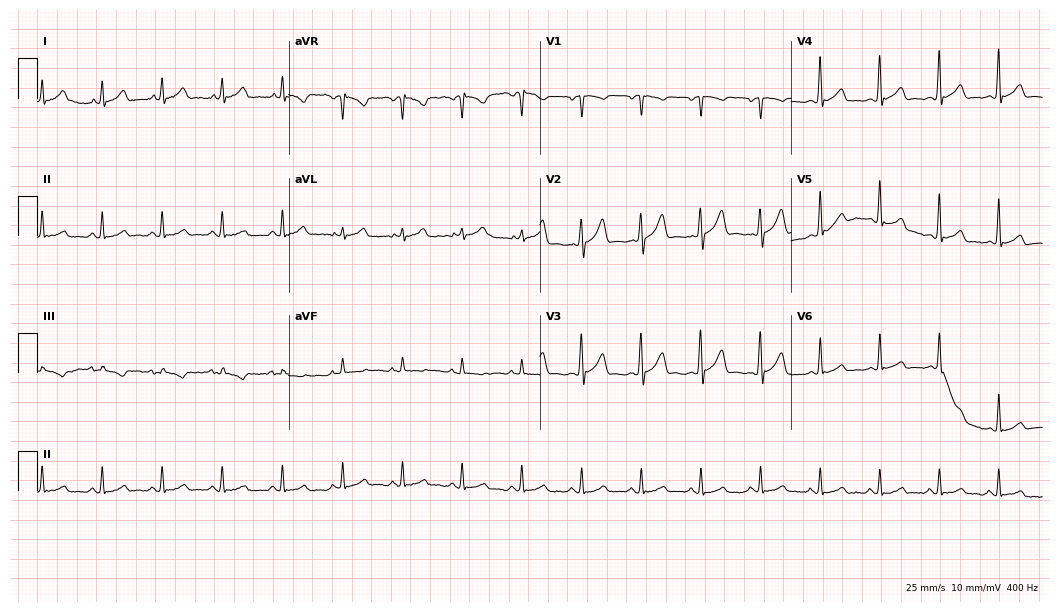
12-lead ECG from a 38-year-old male. No first-degree AV block, right bundle branch block (RBBB), left bundle branch block (LBBB), sinus bradycardia, atrial fibrillation (AF) or sinus tachycardia recorded for this tracing.